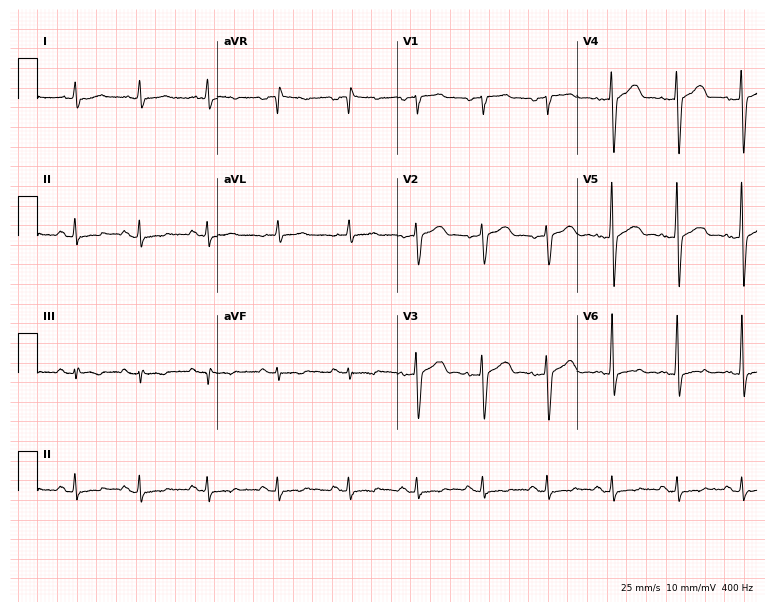
ECG — a 62-year-old female. Labelled as a normal ECG.